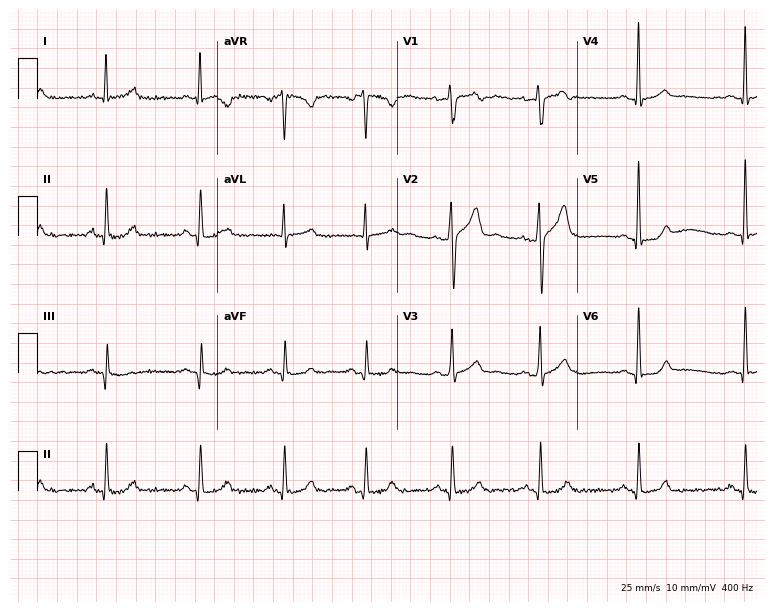
12-lead ECG from a 37-year-old male. Labelled as a normal ECG.